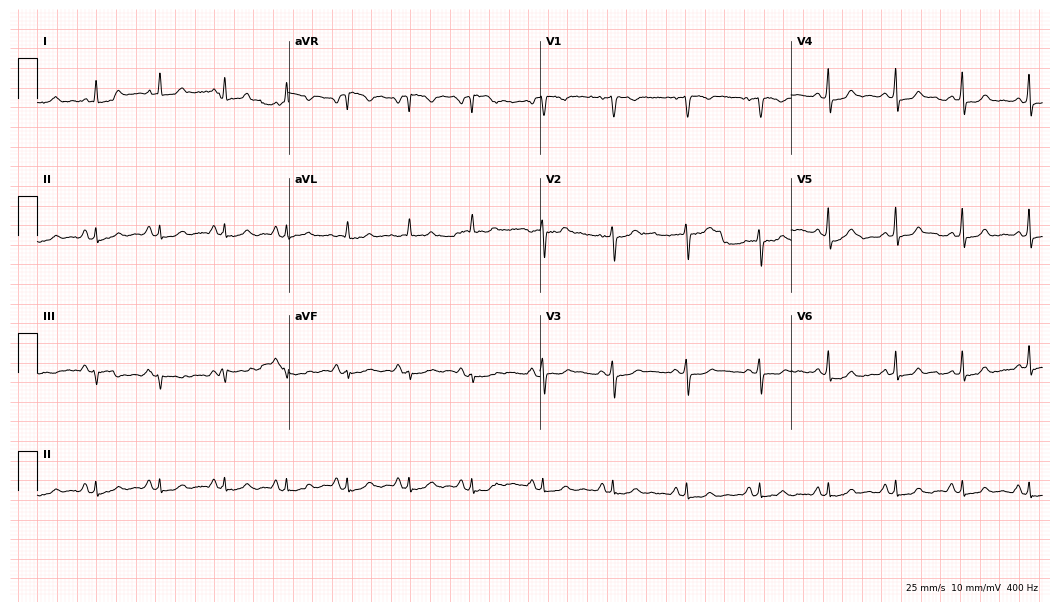
Standard 12-lead ECG recorded from a woman, 27 years old. Read as a normal ECG.